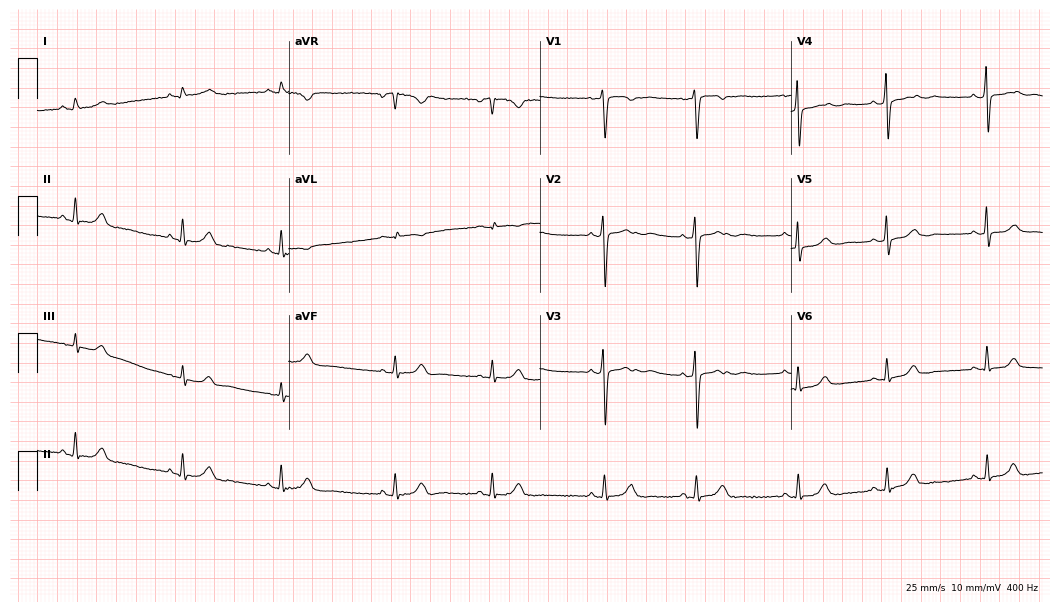
12-lead ECG from a female patient, 32 years old. No first-degree AV block, right bundle branch block, left bundle branch block, sinus bradycardia, atrial fibrillation or sinus tachycardia recorded for this tracing.